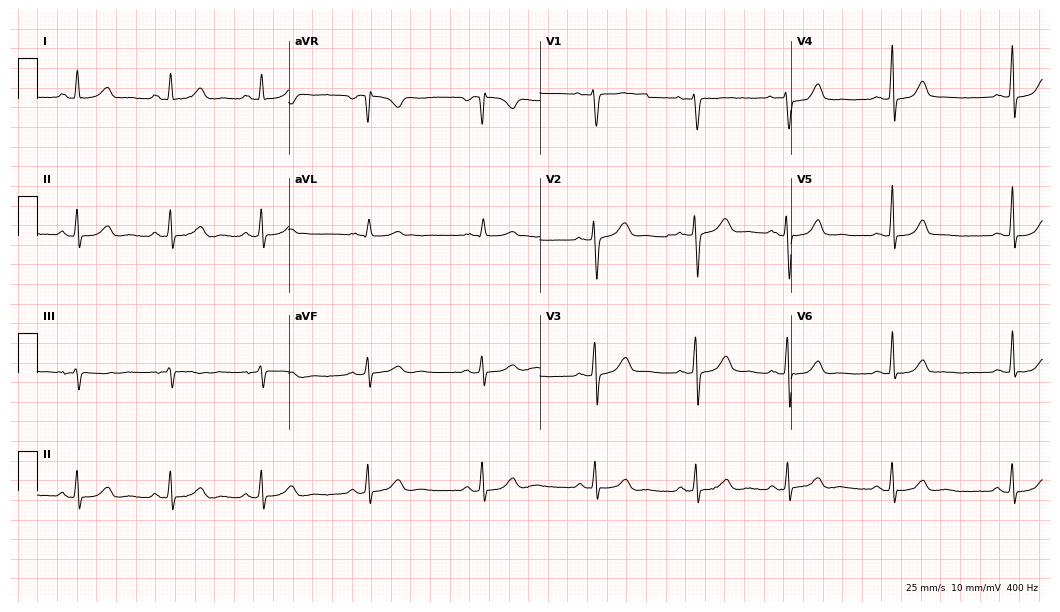
Resting 12-lead electrocardiogram (10.2-second recording at 400 Hz). Patient: a 35-year-old woman. None of these six findings is recorded: first-degree AV block, right bundle branch block, left bundle branch block, sinus bradycardia, atrial fibrillation, sinus tachycardia. Other findings, if any, are not listed.